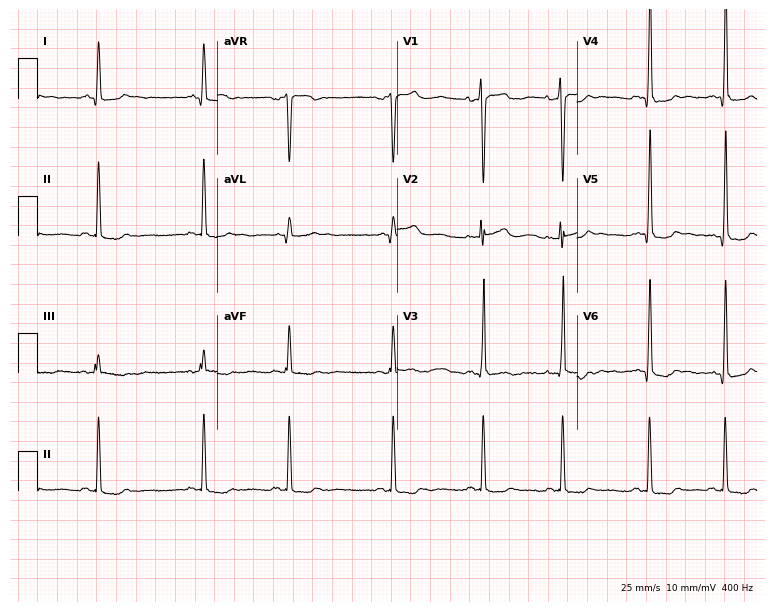
12-lead ECG from a 19-year-old woman. No first-degree AV block, right bundle branch block (RBBB), left bundle branch block (LBBB), sinus bradycardia, atrial fibrillation (AF) or sinus tachycardia recorded for this tracing.